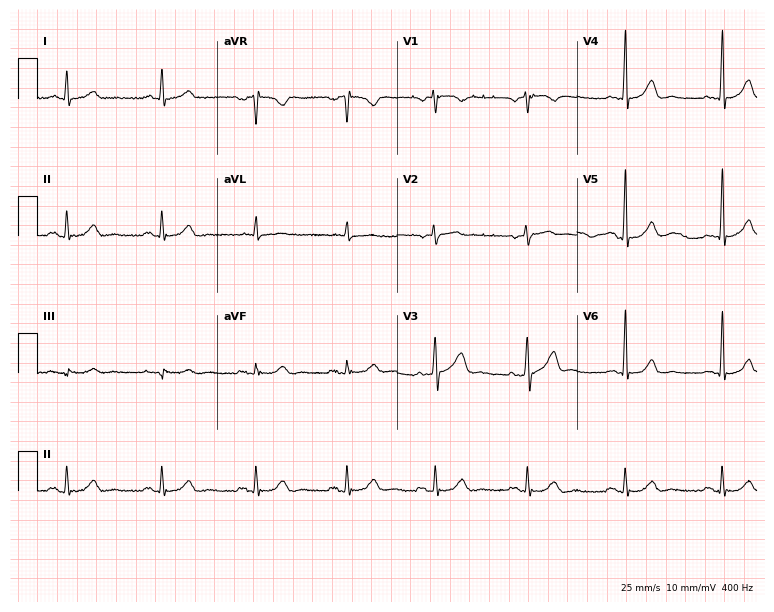
Standard 12-lead ECG recorded from a 58-year-old male. Read as a normal ECG.